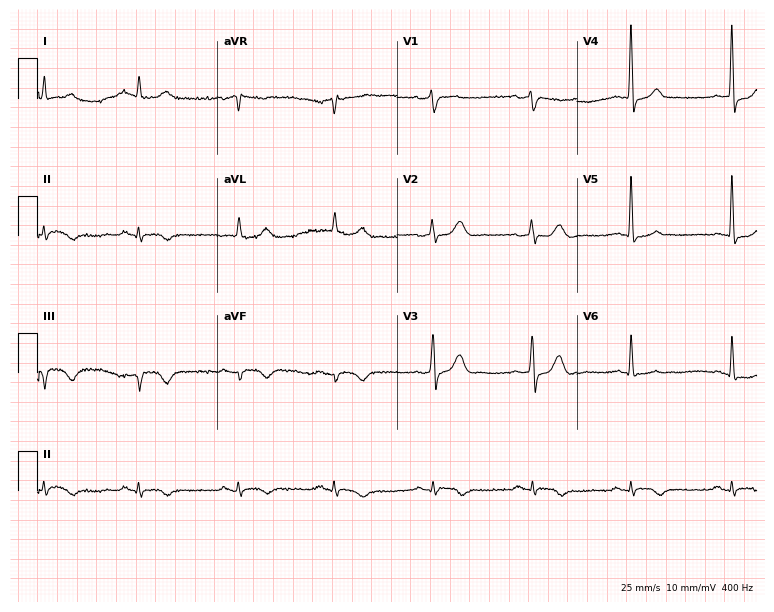
12-lead ECG from a 75-year-old man. No first-degree AV block, right bundle branch block (RBBB), left bundle branch block (LBBB), sinus bradycardia, atrial fibrillation (AF) or sinus tachycardia recorded for this tracing. Only these six findings were labelled.